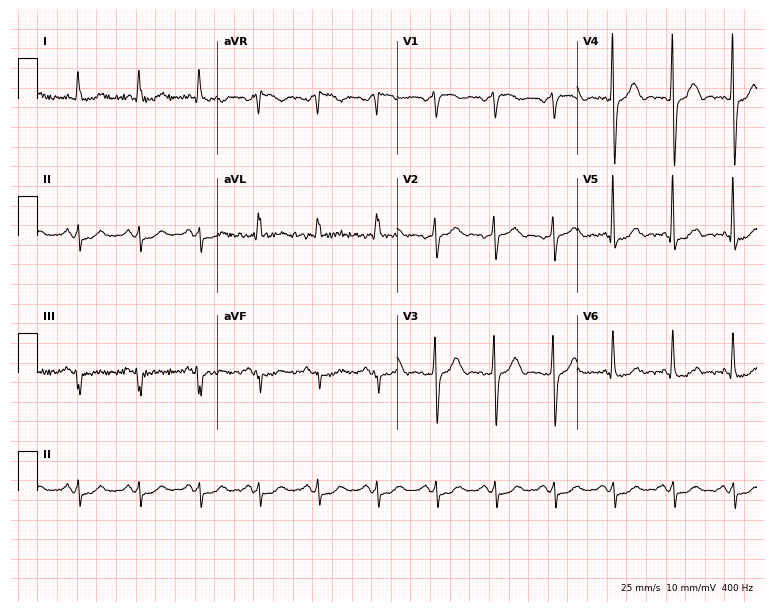
12-lead ECG from a 59-year-old male patient (7.3-second recording at 400 Hz). No first-degree AV block, right bundle branch block (RBBB), left bundle branch block (LBBB), sinus bradycardia, atrial fibrillation (AF) or sinus tachycardia recorded for this tracing.